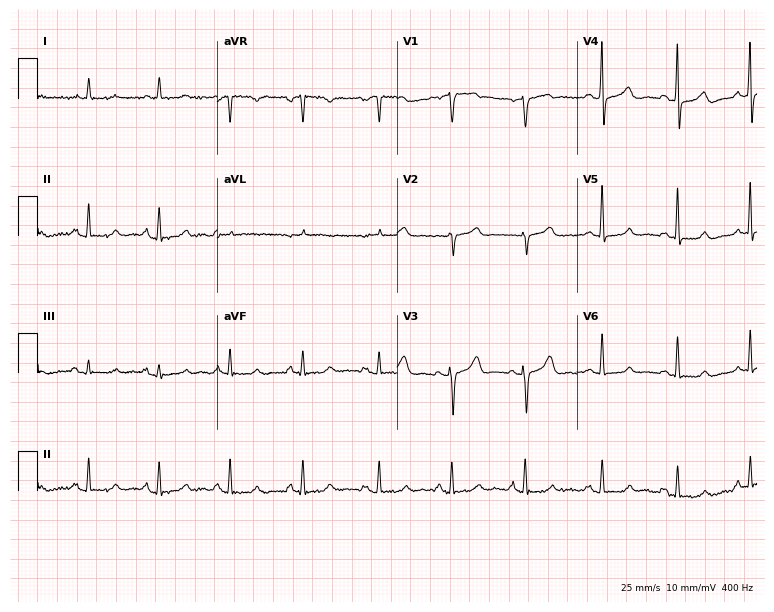
12-lead ECG from a female, 46 years old. Recorded interpretation: within normal limits.